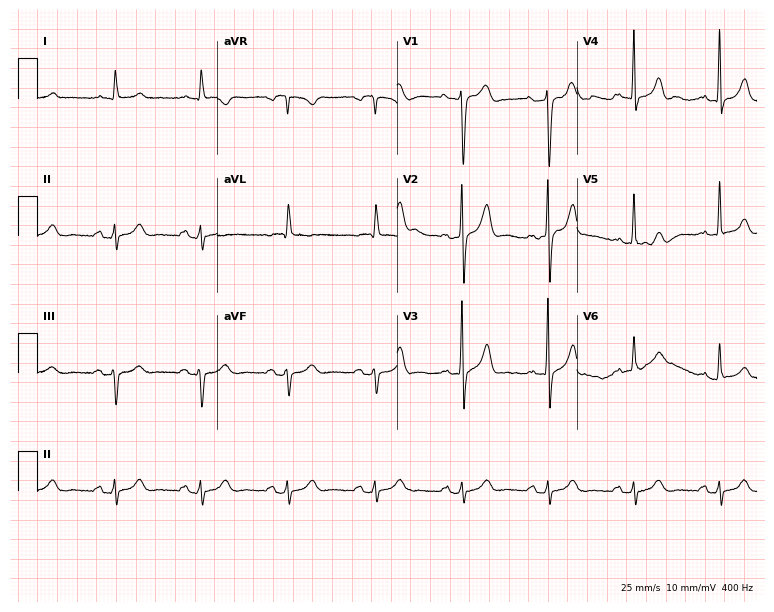
Resting 12-lead electrocardiogram. Patient: a man, 77 years old. None of these six findings is recorded: first-degree AV block, right bundle branch block (RBBB), left bundle branch block (LBBB), sinus bradycardia, atrial fibrillation (AF), sinus tachycardia. Findings outside these six are not listed.